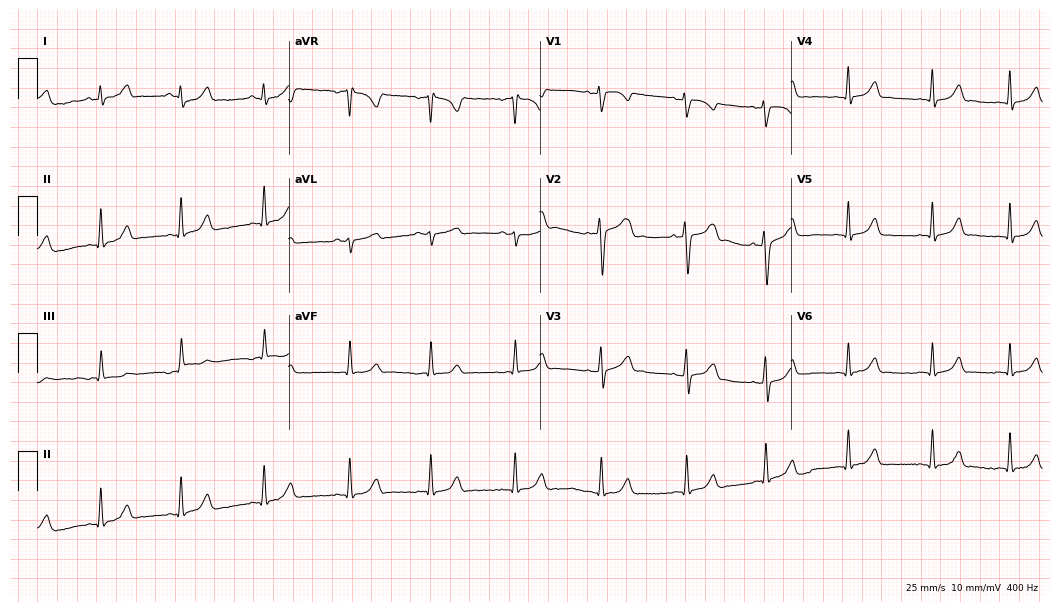
12-lead ECG (10.2-second recording at 400 Hz) from a 29-year-old woman. Screened for six findings — first-degree AV block, right bundle branch block, left bundle branch block, sinus bradycardia, atrial fibrillation, sinus tachycardia — none is recorded.